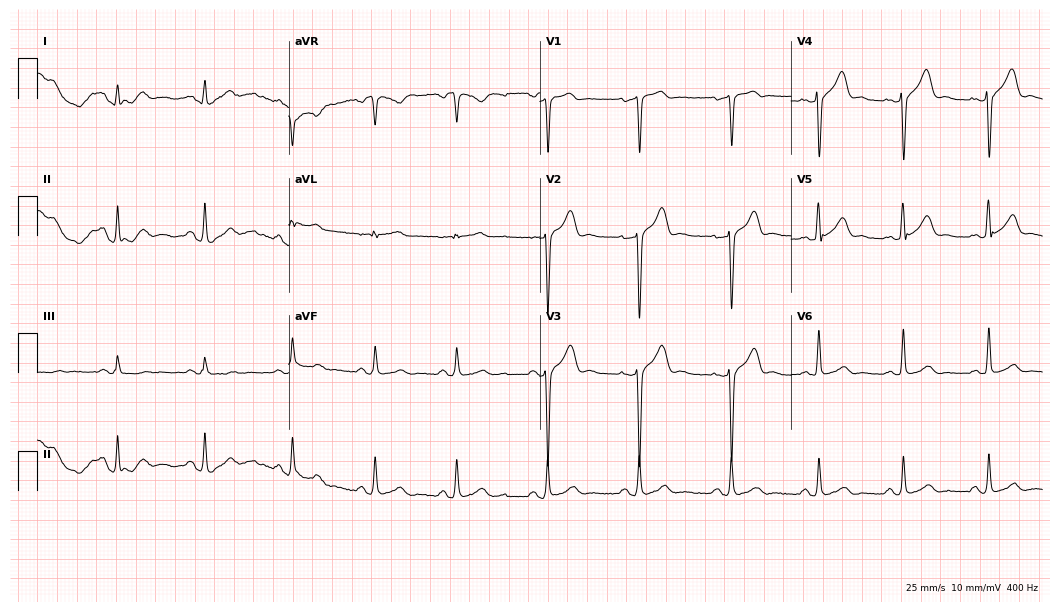
12-lead ECG from a 33-year-old male. Recorded interpretation: within normal limits.